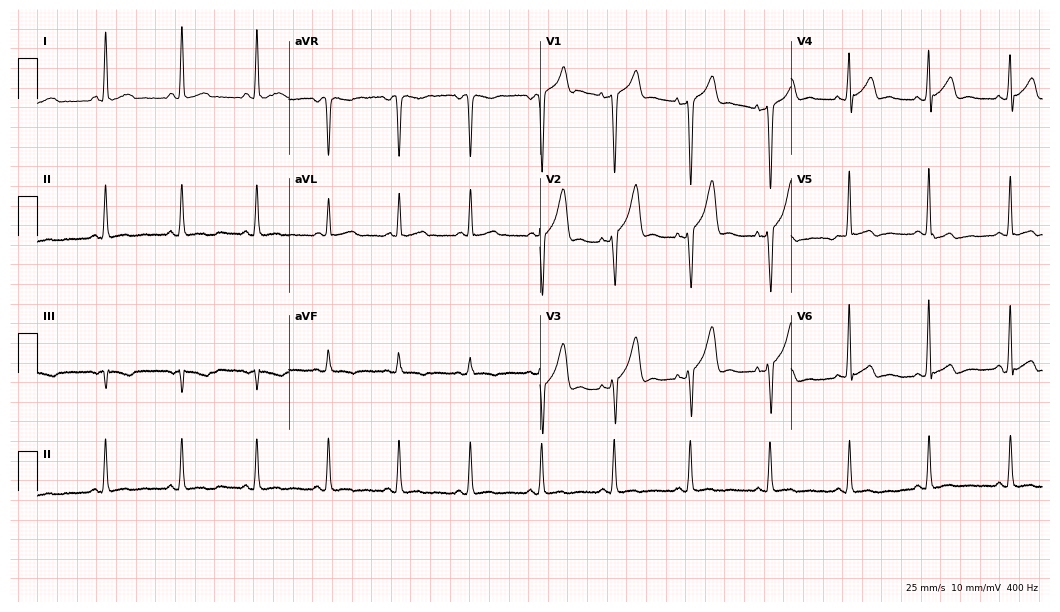
Electrocardiogram, a male patient, 36 years old. Of the six screened findings (first-degree AV block, right bundle branch block (RBBB), left bundle branch block (LBBB), sinus bradycardia, atrial fibrillation (AF), sinus tachycardia), none is recorded. Only these six findings were labelled.